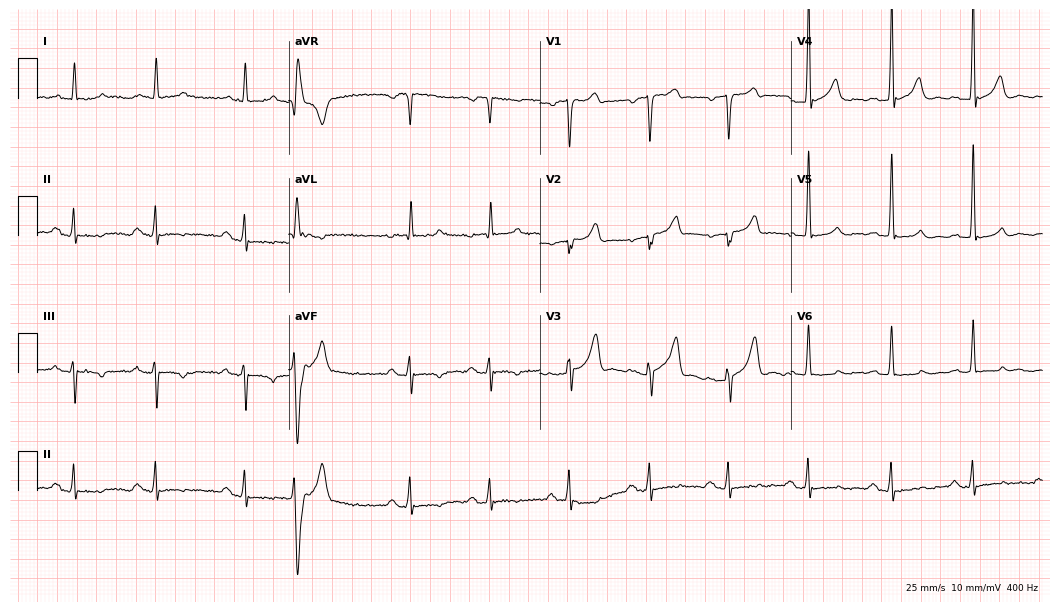
12-lead ECG from a 66-year-old man. No first-degree AV block, right bundle branch block, left bundle branch block, sinus bradycardia, atrial fibrillation or sinus tachycardia recorded for this tracing.